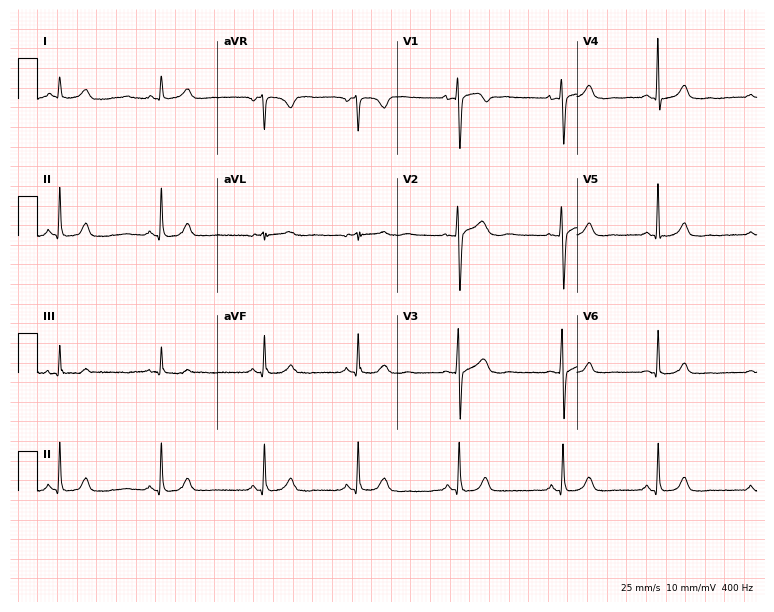
Resting 12-lead electrocardiogram. Patient: a 40-year-old female. Read as a normal ECG.